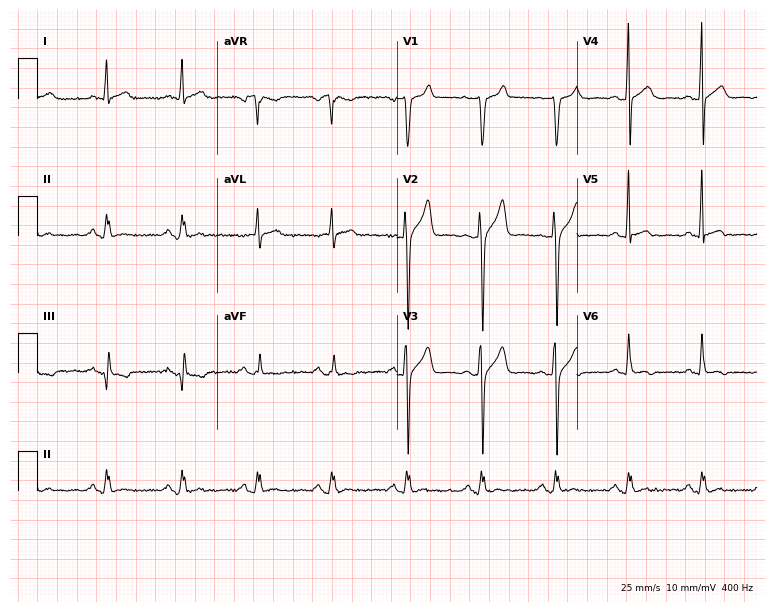
Electrocardiogram, a 44-year-old man. Of the six screened findings (first-degree AV block, right bundle branch block (RBBB), left bundle branch block (LBBB), sinus bradycardia, atrial fibrillation (AF), sinus tachycardia), none is recorded. Other findings, if any, are not listed.